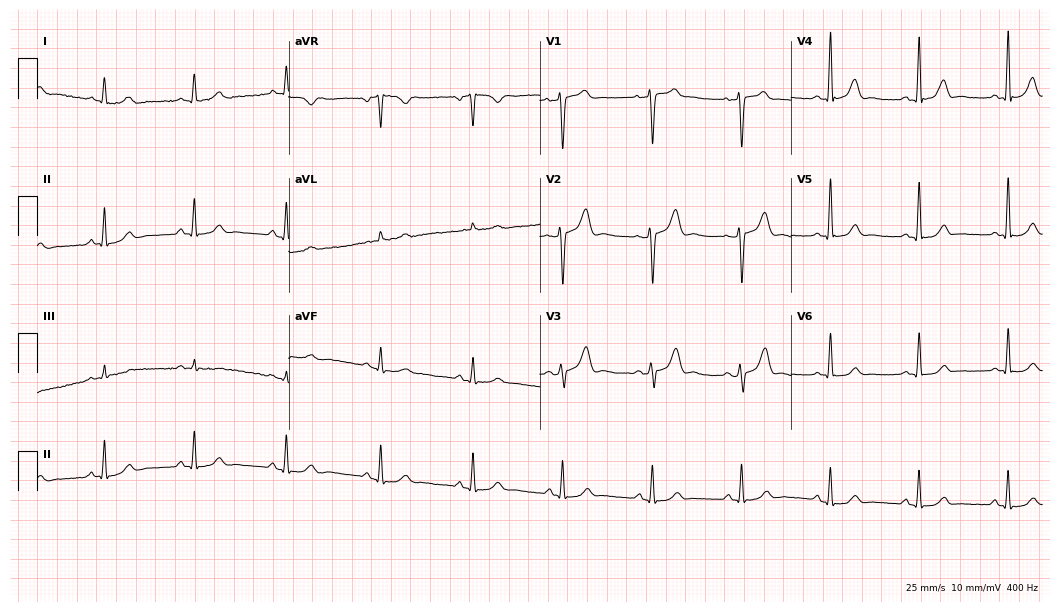
12-lead ECG from a 35-year-old female. Screened for six findings — first-degree AV block, right bundle branch block, left bundle branch block, sinus bradycardia, atrial fibrillation, sinus tachycardia — none is recorded. Findings outside these six are not listed.